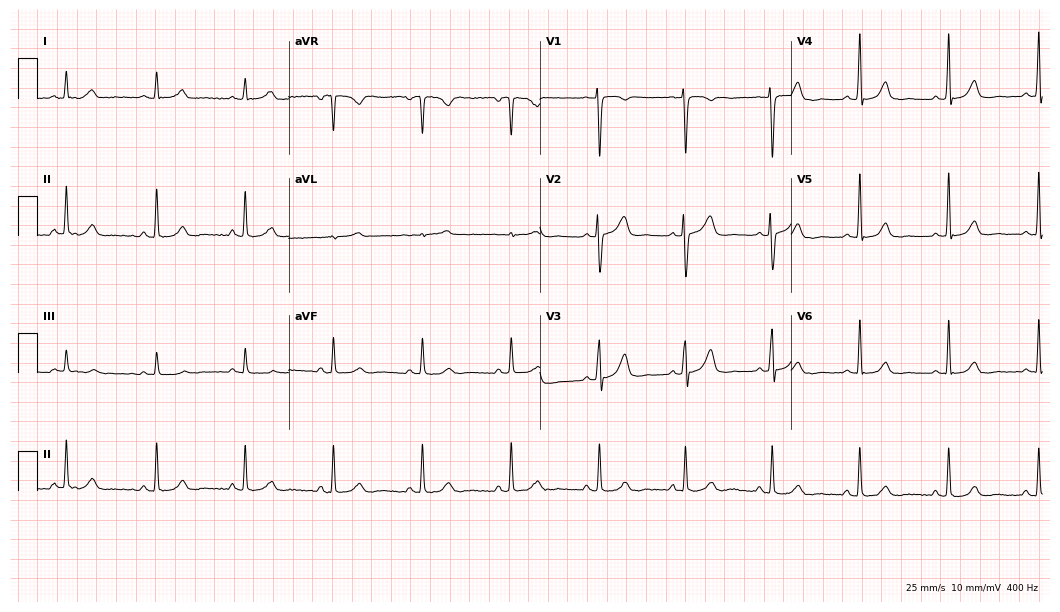
12-lead ECG (10.2-second recording at 400 Hz) from a 49-year-old female. Screened for six findings — first-degree AV block, right bundle branch block, left bundle branch block, sinus bradycardia, atrial fibrillation, sinus tachycardia — none is recorded.